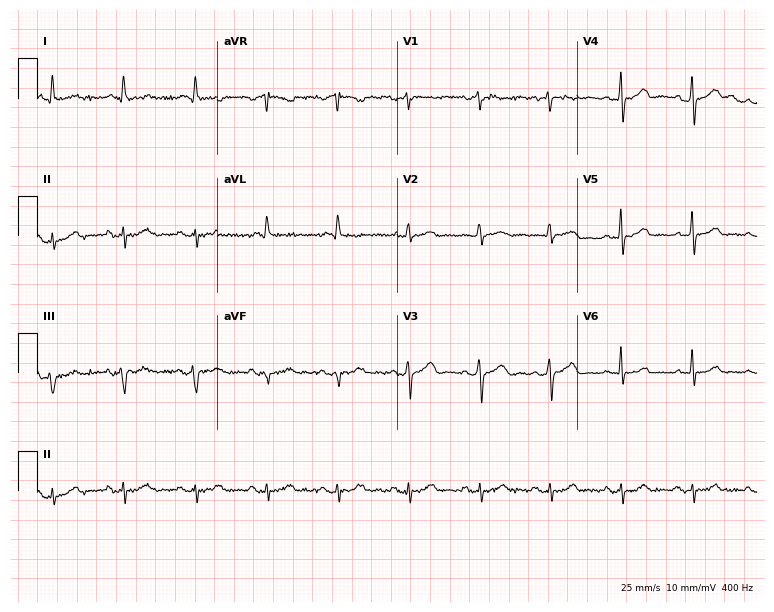
Resting 12-lead electrocardiogram. Patient: an 85-year-old male. None of these six findings is recorded: first-degree AV block, right bundle branch block, left bundle branch block, sinus bradycardia, atrial fibrillation, sinus tachycardia.